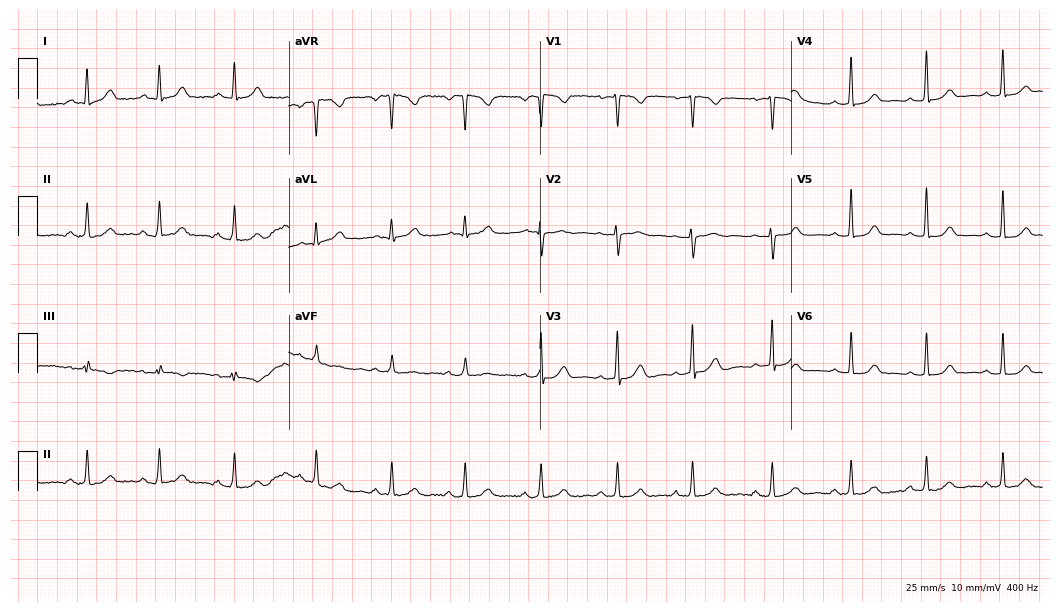
Electrocardiogram (10.2-second recording at 400 Hz), a woman, 26 years old. Of the six screened findings (first-degree AV block, right bundle branch block (RBBB), left bundle branch block (LBBB), sinus bradycardia, atrial fibrillation (AF), sinus tachycardia), none is recorded.